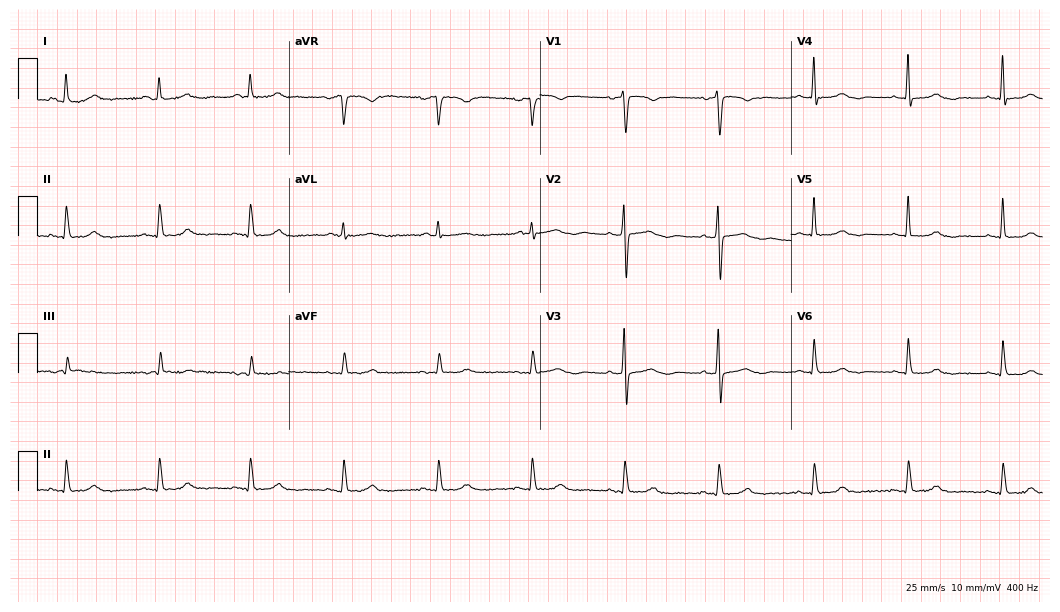
12-lead ECG from a woman, 74 years old. Screened for six findings — first-degree AV block, right bundle branch block, left bundle branch block, sinus bradycardia, atrial fibrillation, sinus tachycardia — none is recorded.